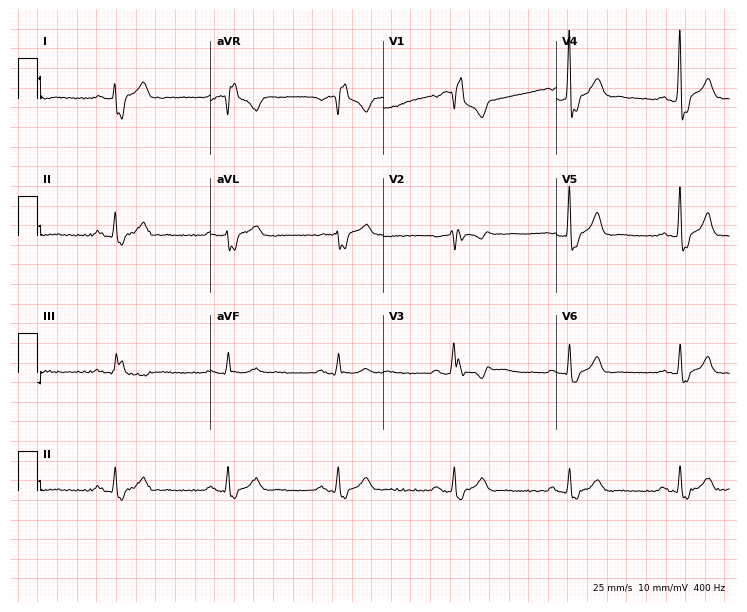
Standard 12-lead ECG recorded from a male patient, 40 years old (7.1-second recording at 400 Hz). The tracing shows right bundle branch block.